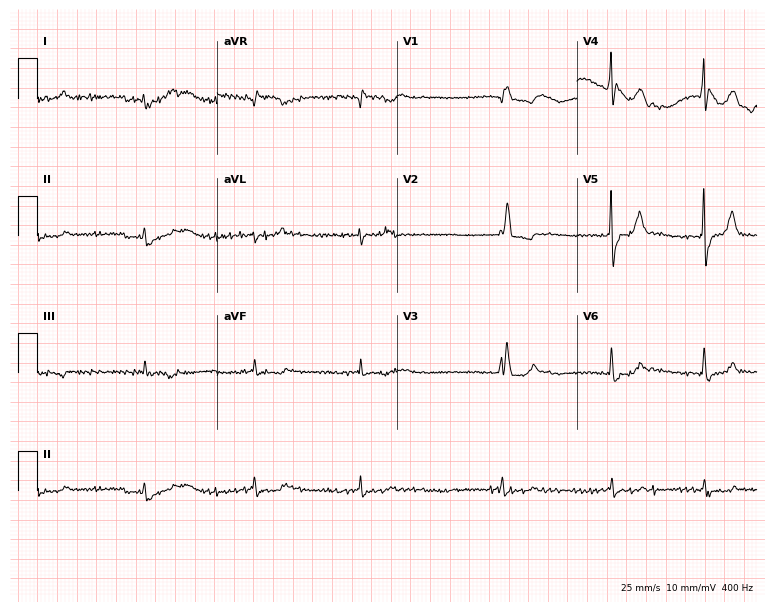
Electrocardiogram (7.3-second recording at 400 Hz), a male, 85 years old. Interpretation includes right bundle branch block, atrial fibrillation.